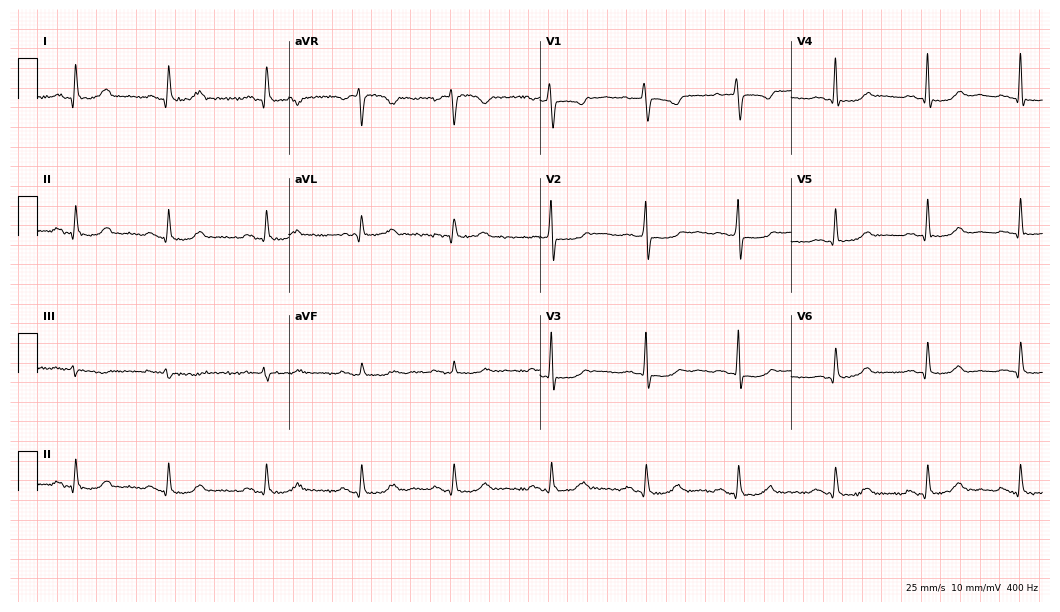
ECG — a 48-year-old female patient. Screened for six findings — first-degree AV block, right bundle branch block (RBBB), left bundle branch block (LBBB), sinus bradycardia, atrial fibrillation (AF), sinus tachycardia — none is recorded. Only these six findings were labelled.